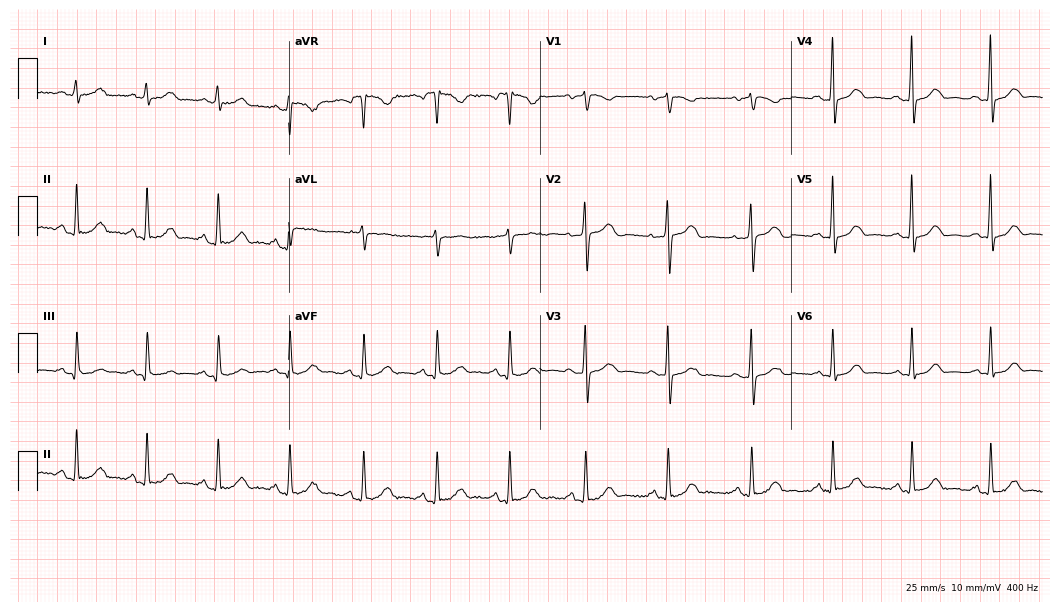
12-lead ECG from a 62-year-old woman. Labelled as a normal ECG.